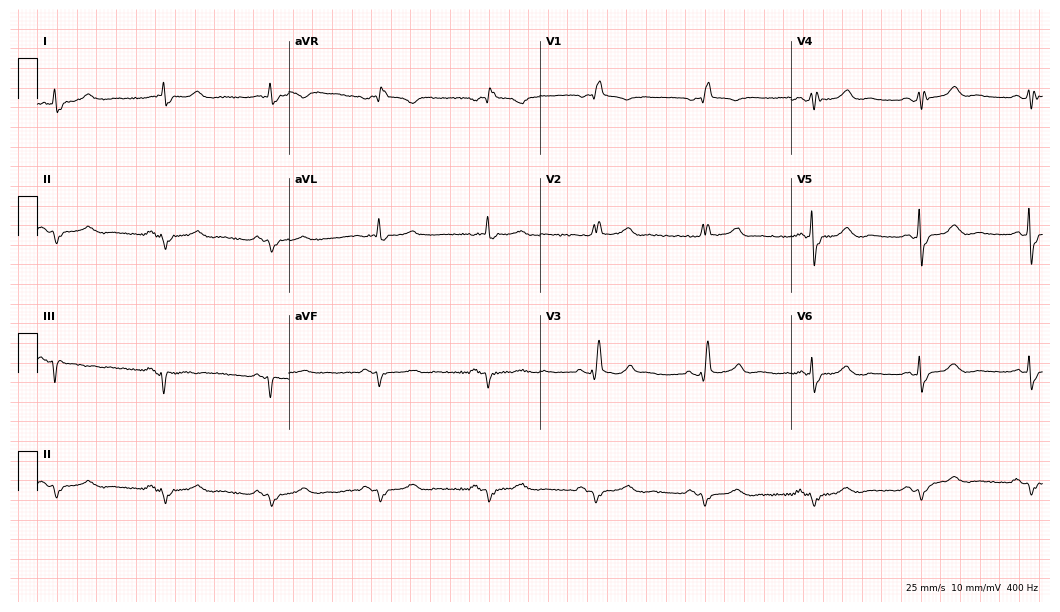
12-lead ECG (10.2-second recording at 400 Hz) from a male patient, 80 years old. Findings include right bundle branch block.